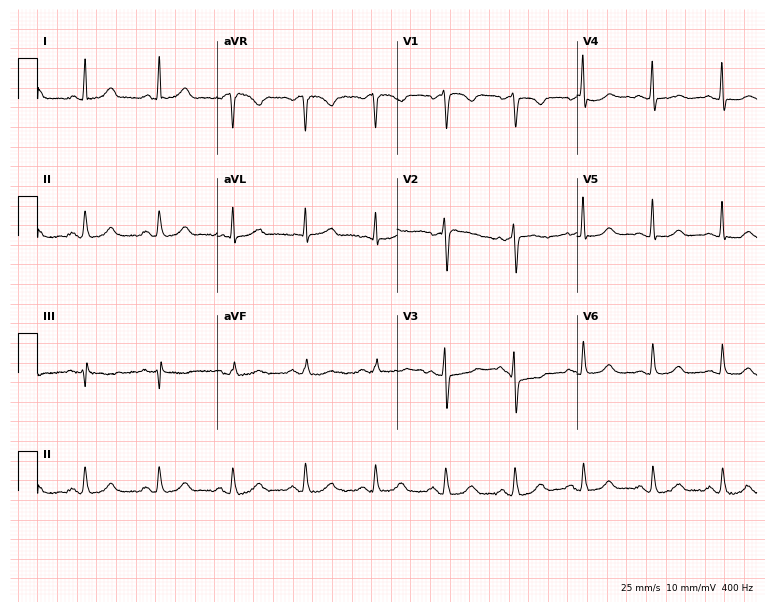
Standard 12-lead ECG recorded from a woman, 60 years old. Read as a normal ECG.